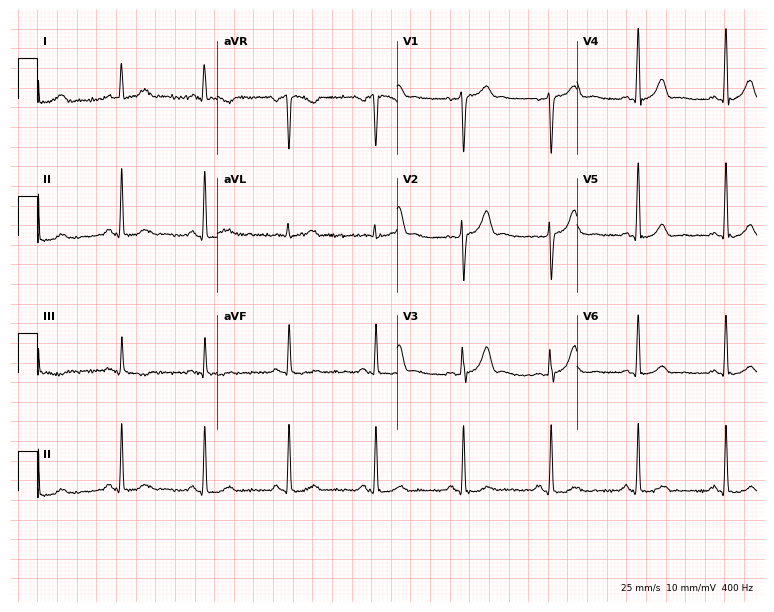
ECG (7.3-second recording at 400 Hz) — a male patient, 48 years old. Labelled as a normal ECG.